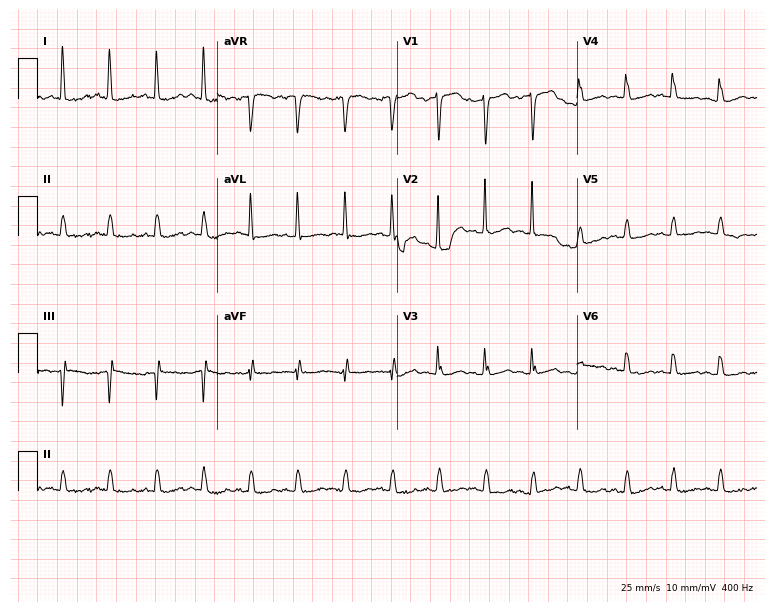
12-lead ECG from a female, 73 years old. Shows sinus tachycardia (a sinus rate of 100 beats per minute or more).